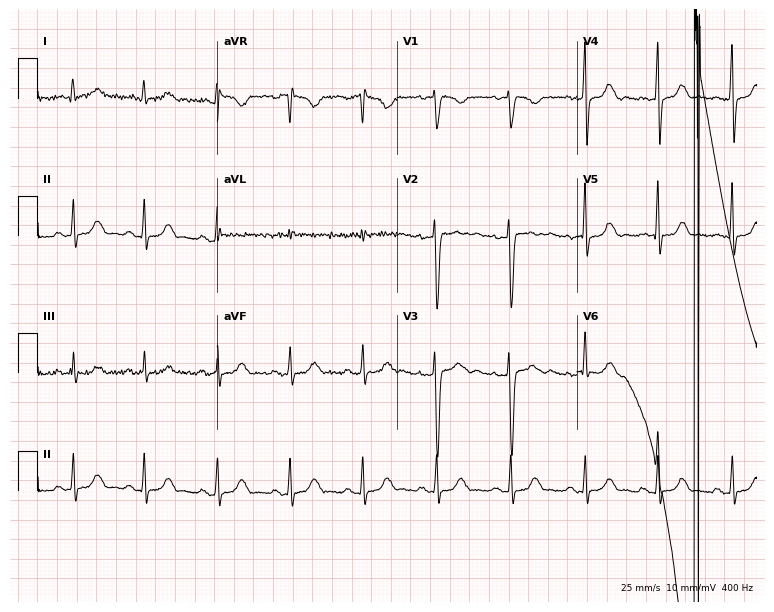
Standard 12-lead ECG recorded from a 50-year-old woman. None of these six findings is recorded: first-degree AV block, right bundle branch block, left bundle branch block, sinus bradycardia, atrial fibrillation, sinus tachycardia.